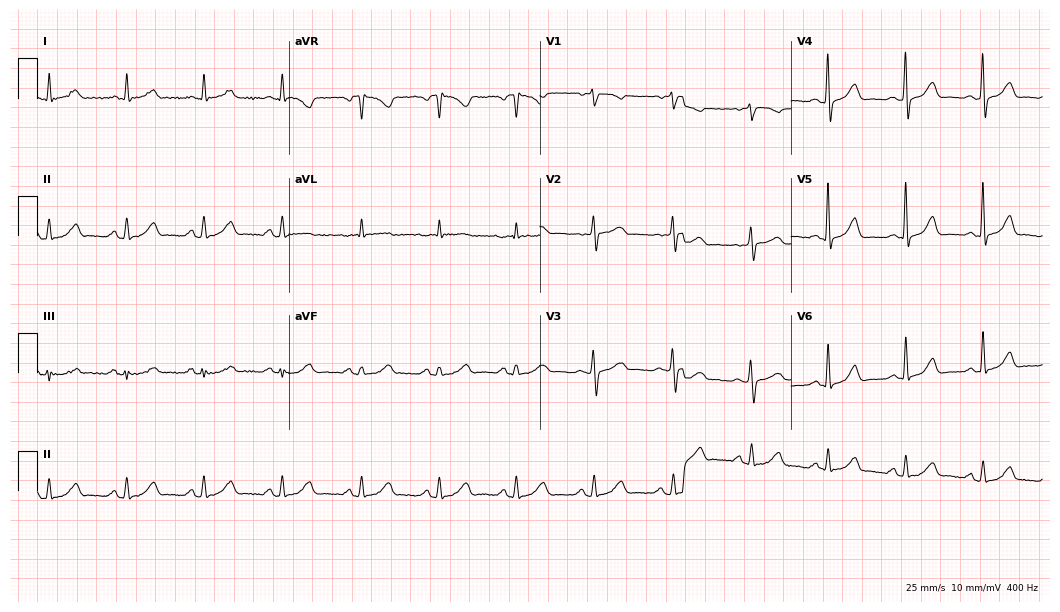
Resting 12-lead electrocardiogram. Patient: a 69-year-old female. Read as a normal ECG.